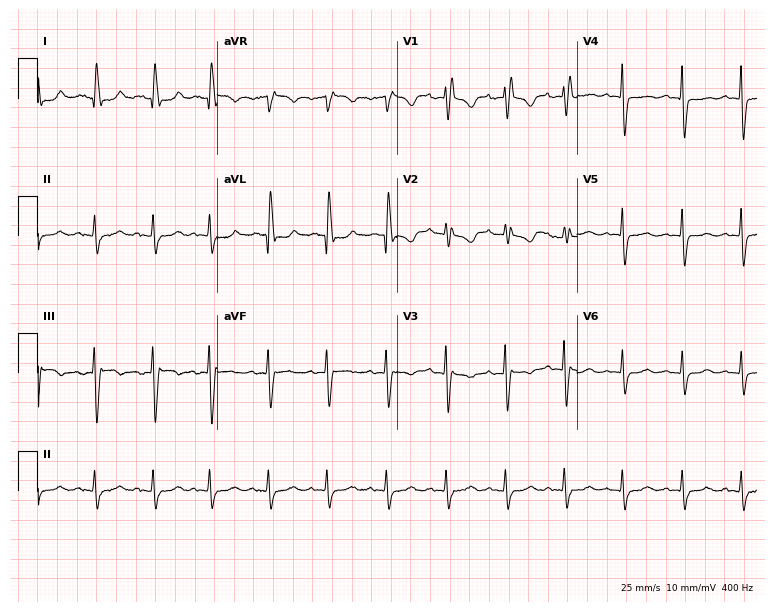
Resting 12-lead electrocardiogram (7.3-second recording at 400 Hz). Patient: a female, 76 years old. None of these six findings is recorded: first-degree AV block, right bundle branch block, left bundle branch block, sinus bradycardia, atrial fibrillation, sinus tachycardia.